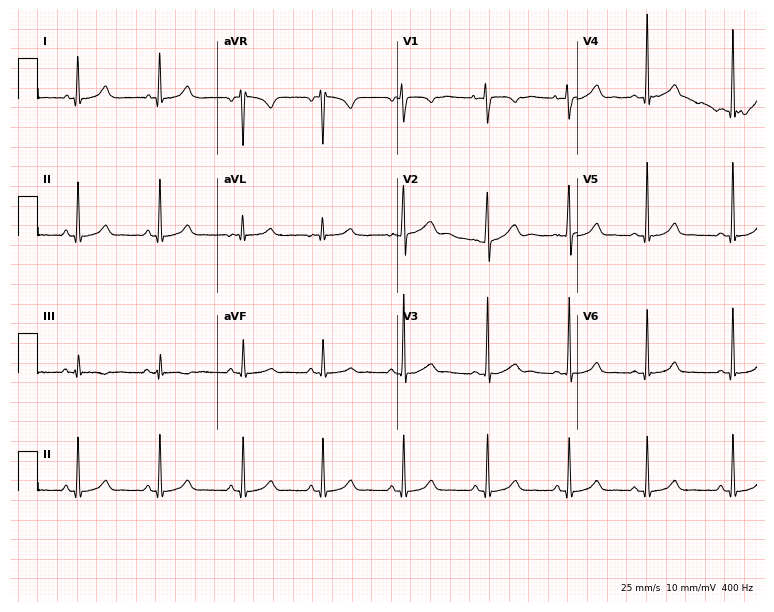
ECG — a 17-year-old woman. Screened for six findings — first-degree AV block, right bundle branch block (RBBB), left bundle branch block (LBBB), sinus bradycardia, atrial fibrillation (AF), sinus tachycardia — none is recorded.